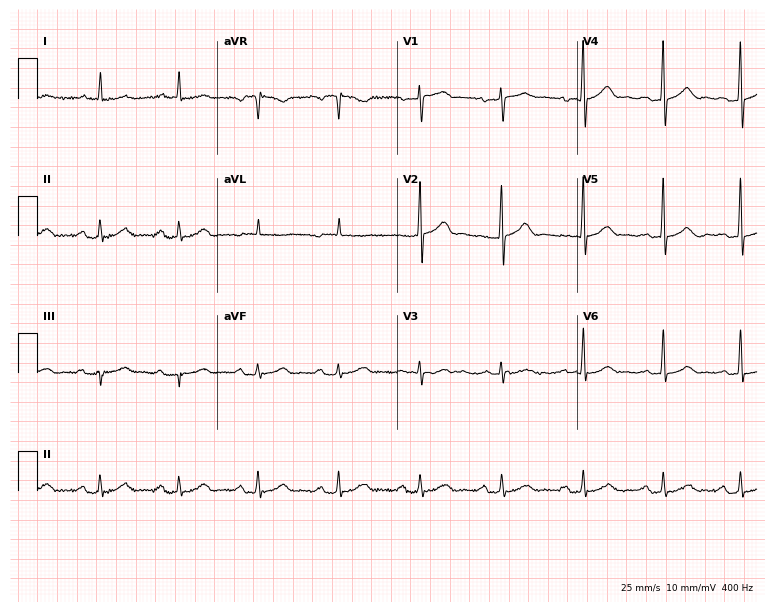
12-lead ECG (7.3-second recording at 400 Hz) from a 76-year-old male patient. Labelled as a normal ECG.